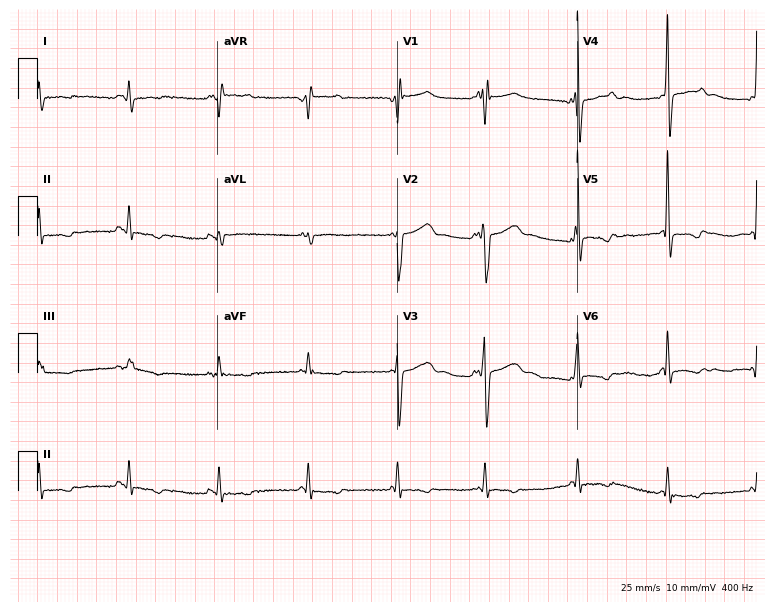
Resting 12-lead electrocardiogram. Patient: a male, 67 years old. None of these six findings is recorded: first-degree AV block, right bundle branch block, left bundle branch block, sinus bradycardia, atrial fibrillation, sinus tachycardia. Findings outside these six are not listed.